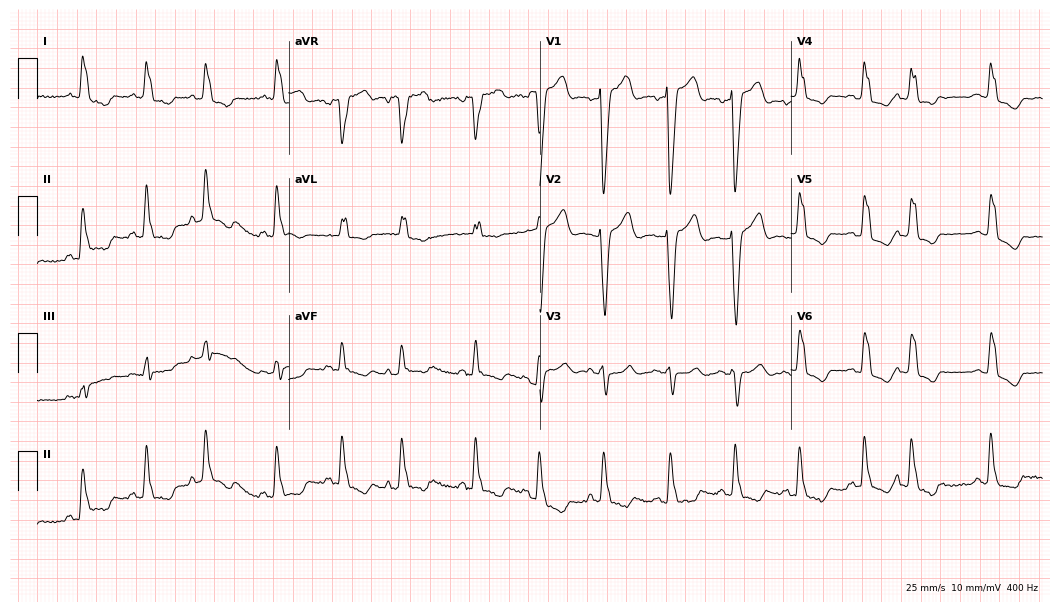
ECG — a 77-year-old female. Findings include left bundle branch block.